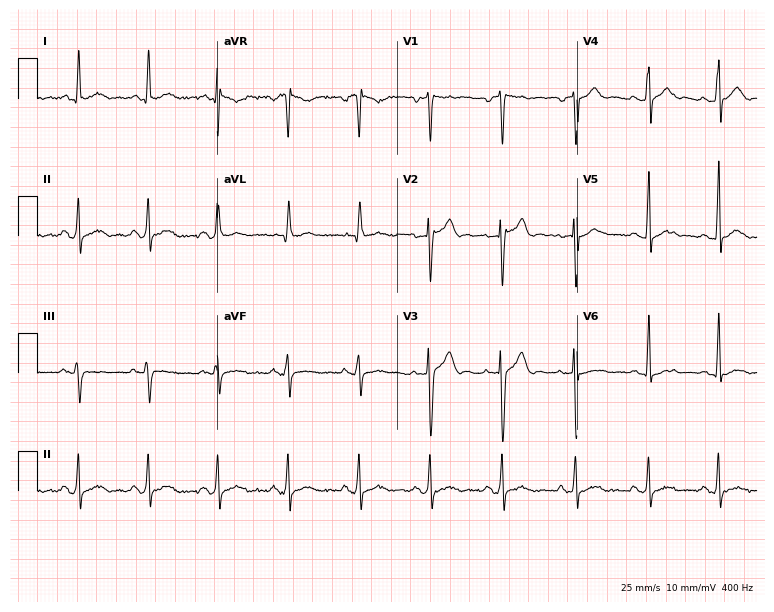
ECG (7.3-second recording at 400 Hz) — a 40-year-old male patient. Screened for six findings — first-degree AV block, right bundle branch block, left bundle branch block, sinus bradycardia, atrial fibrillation, sinus tachycardia — none is recorded. Other findings, if any, are not listed.